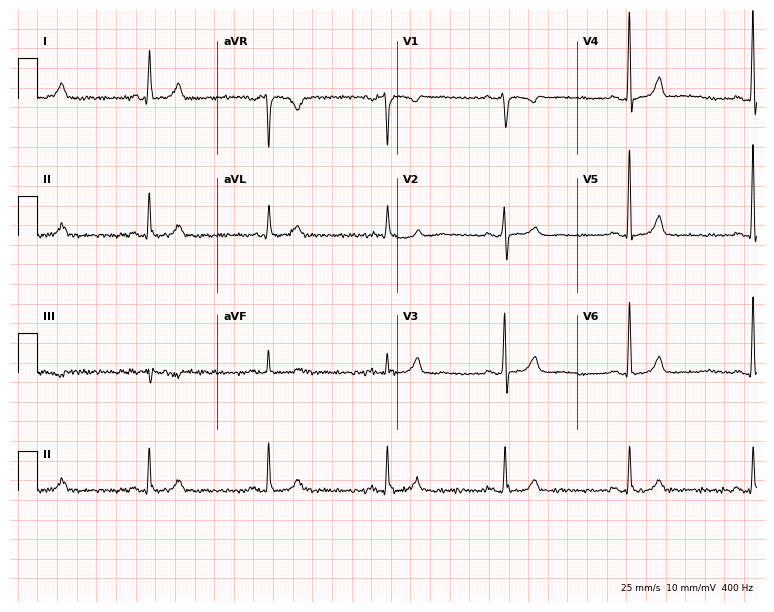
12-lead ECG from a male, 68 years old. Shows sinus bradycardia (a sinus rate of 50 beats per minute or less).